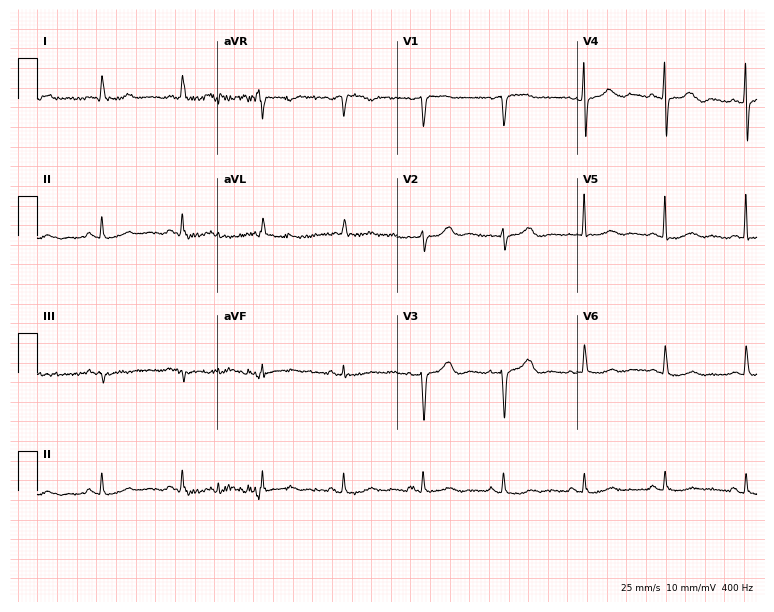
Resting 12-lead electrocardiogram (7.3-second recording at 400 Hz). Patient: a 78-year-old female. None of these six findings is recorded: first-degree AV block, right bundle branch block, left bundle branch block, sinus bradycardia, atrial fibrillation, sinus tachycardia. Only these six findings were labelled.